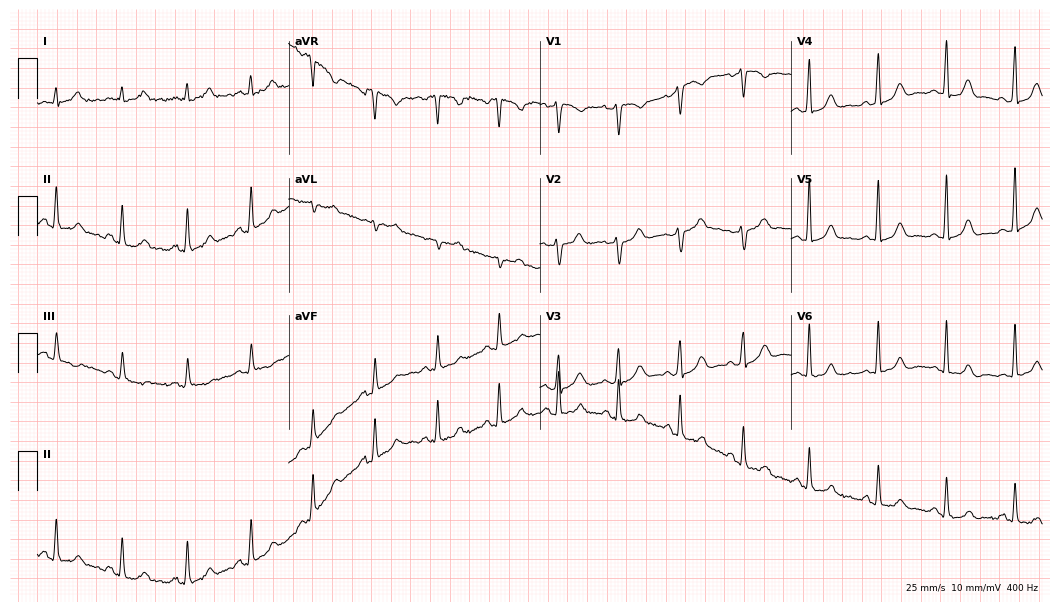
ECG (10.2-second recording at 400 Hz) — a female, 37 years old. Labelled as a normal ECG.